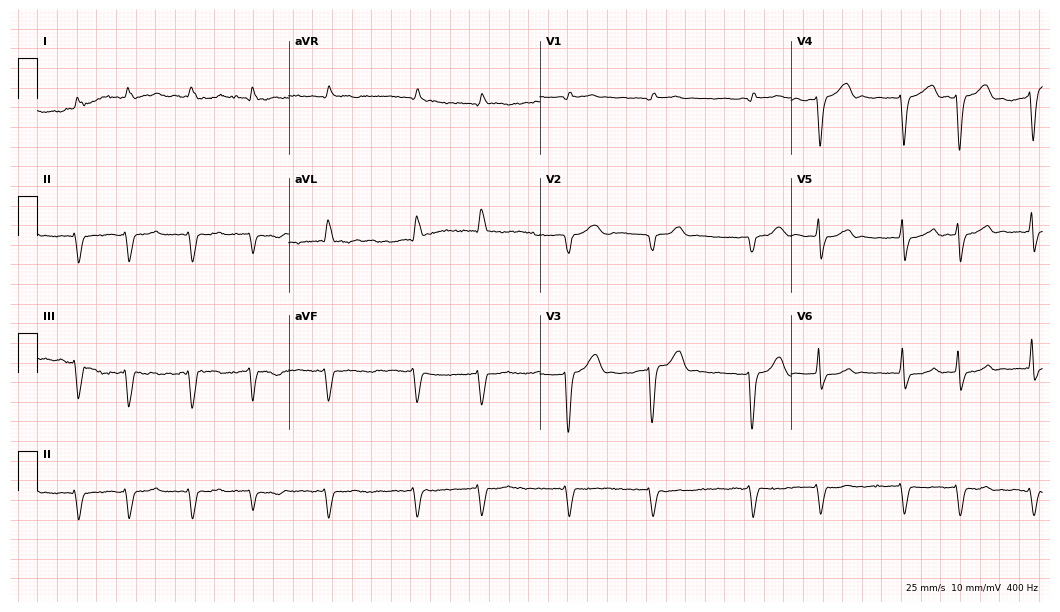
Electrocardiogram, an 85-year-old male. Interpretation includes left bundle branch block, atrial fibrillation.